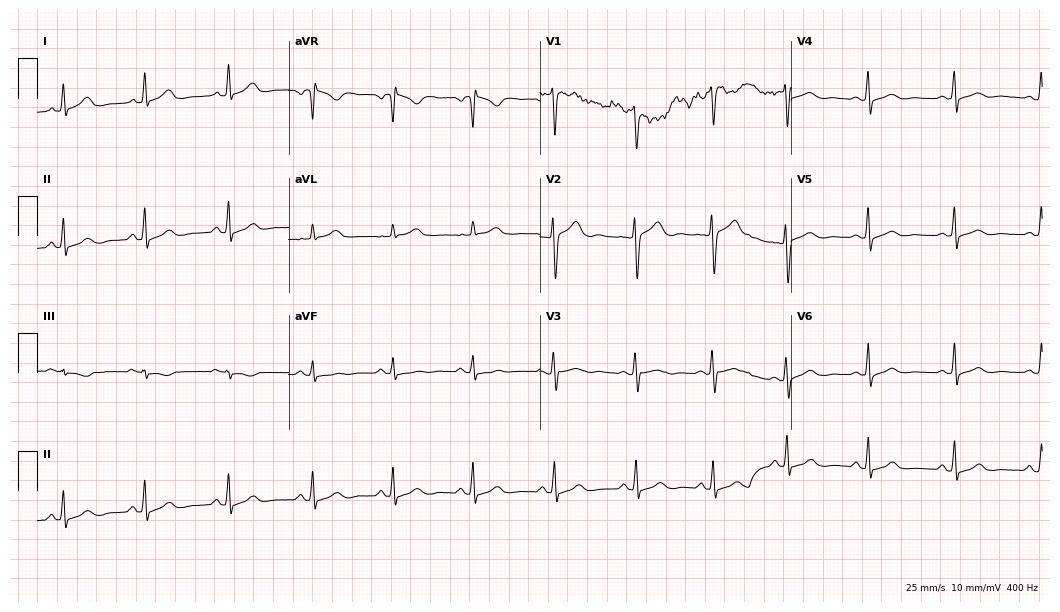
ECG — a 32-year-old female patient. Labelled as a normal ECG.